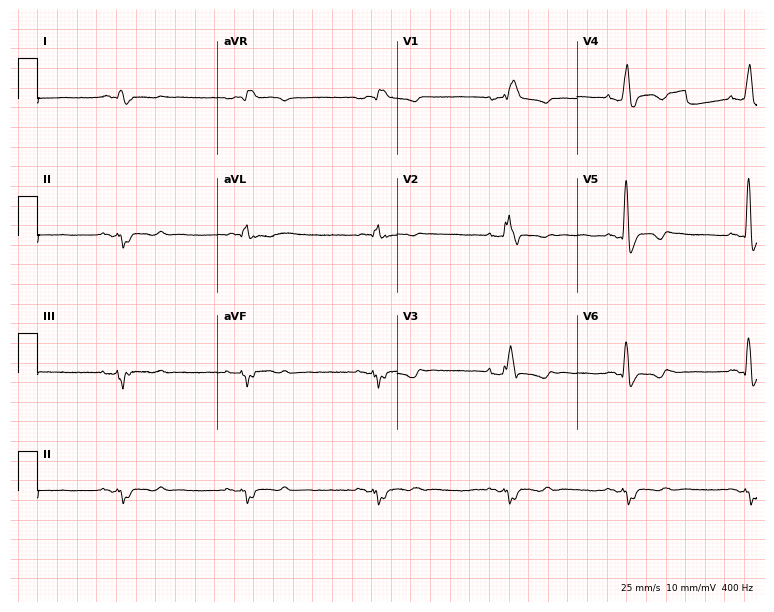
12-lead ECG from a male, 69 years old. Findings include right bundle branch block (RBBB), sinus bradycardia (a sinus rate of 50 beats per minute or less).